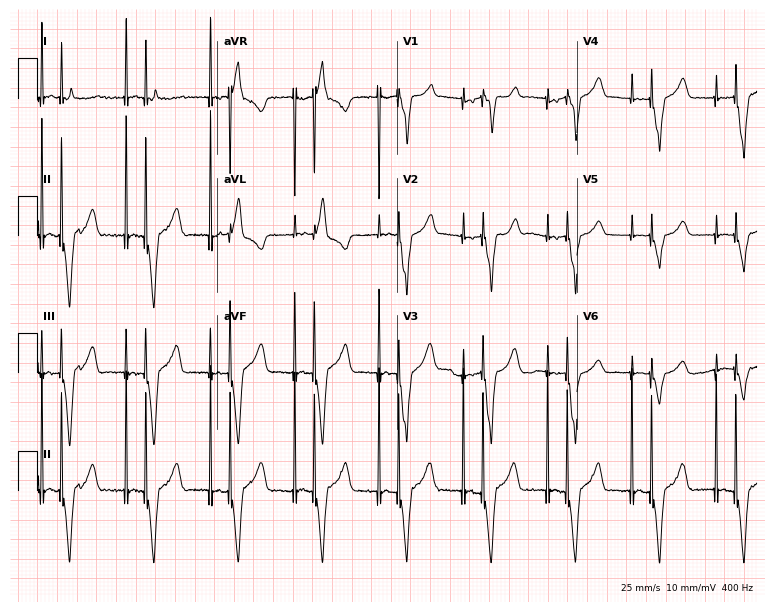
Resting 12-lead electrocardiogram. Patient: a 76-year-old male. None of these six findings is recorded: first-degree AV block, right bundle branch block (RBBB), left bundle branch block (LBBB), sinus bradycardia, atrial fibrillation (AF), sinus tachycardia. Only these six findings were labelled.